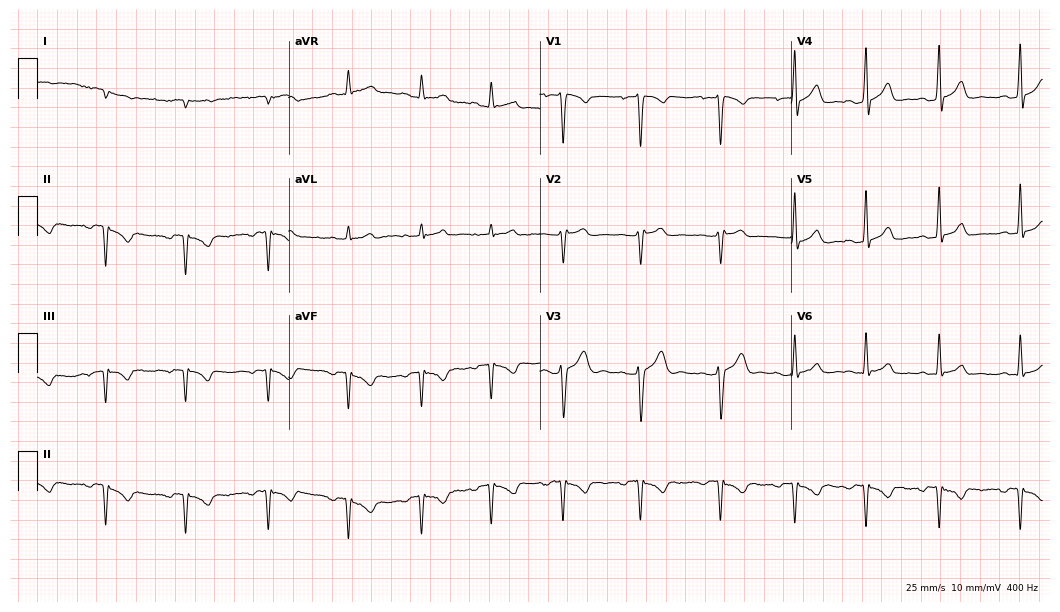
Electrocardiogram, a 24-year-old male. Of the six screened findings (first-degree AV block, right bundle branch block, left bundle branch block, sinus bradycardia, atrial fibrillation, sinus tachycardia), none is recorded.